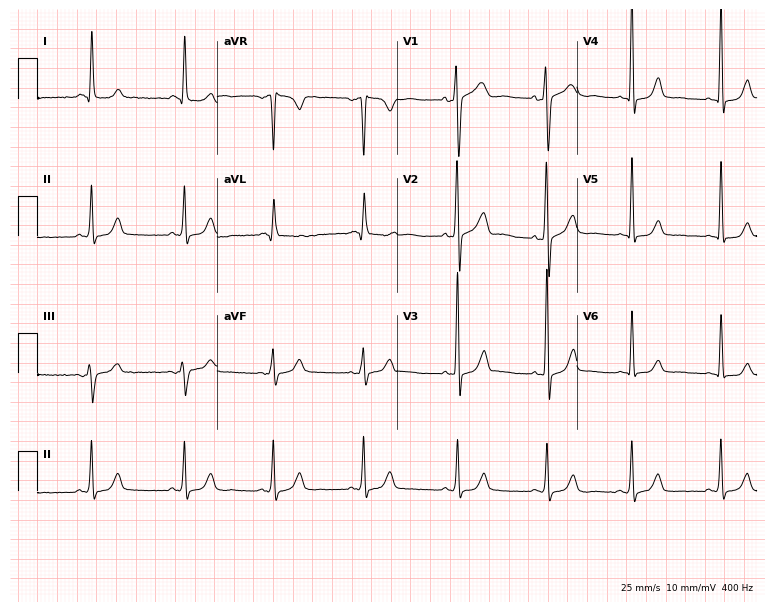
Electrocardiogram (7.3-second recording at 400 Hz), a woman, 42 years old. Of the six screened findings (first-degree AV block, right bundle branch block, left bundle branch block, sinus bradycardia, atrial fibrillation, sinus tachycardia), none is recorded.